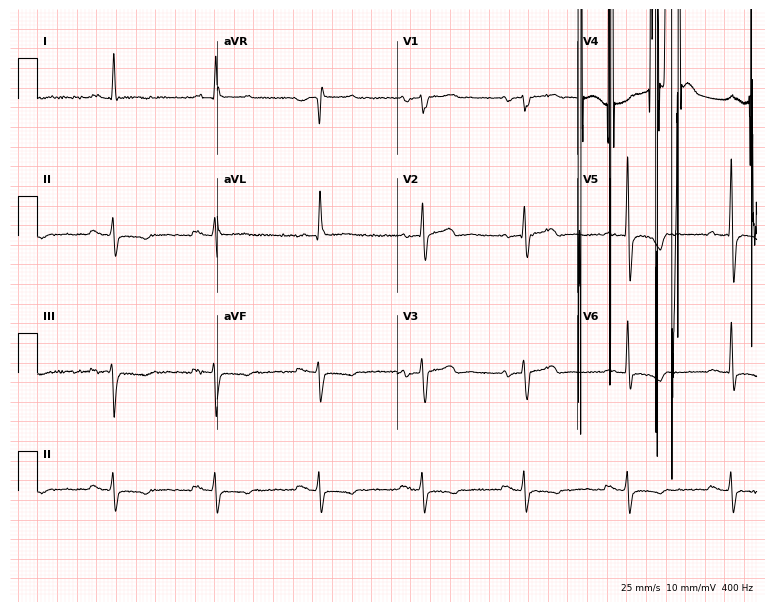
Standard 12-lead ECG recorded from a 72-year-old male patient. None of these six findings is recorded: first-degree AV block, right bundle branch block, left bundle branch block, sinus bradycardia, atrial fibrillation, sinus tachycardia.